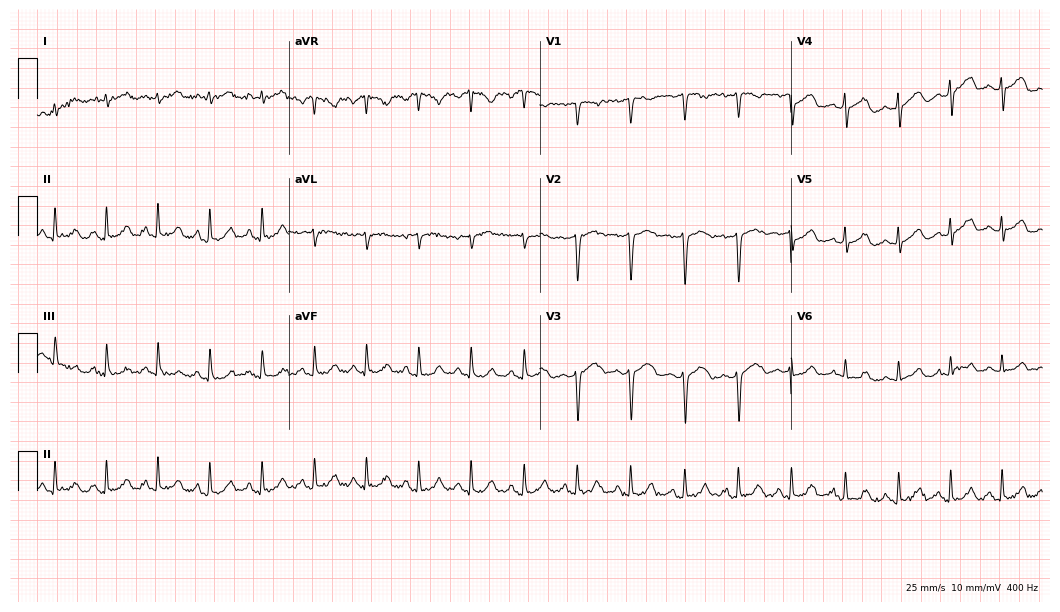
Resting 12-lead electrocardiogram. Patient: a 24-year-old female. The tracing shows sinus tachycardia (a sinus rate of 100 beats per minute or more).